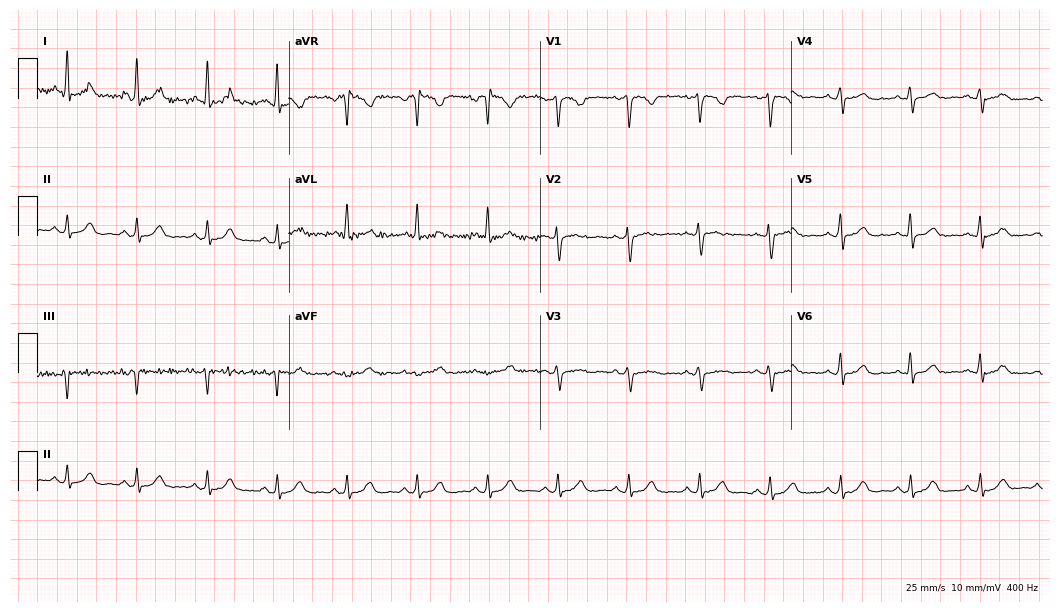
12-lead ECG from a 55-year-old female patient. Recorded interpretation: within normal limits.